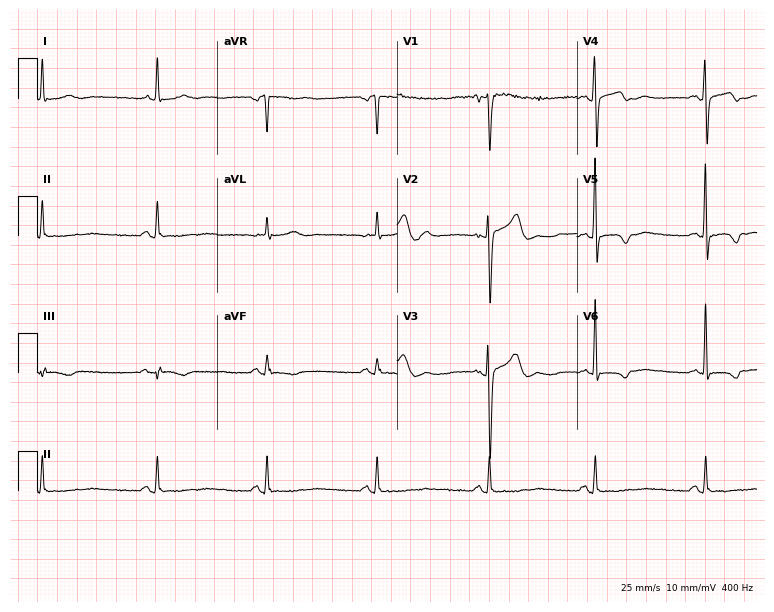
12-lead ECG from a 50-year-old female patient. Screened for six findings — first-degree AV block, right bundle branch block, left bundle branch block, sinus bradycardia, atrial fibrillation, sinus tachycardia — none is recorded.